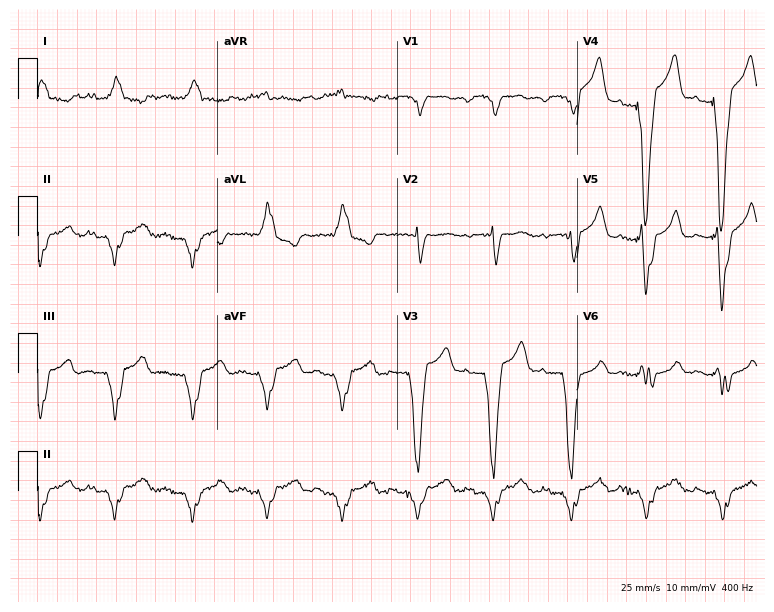
Resting 12-lead electrocardiogram. Patient: a 69-year-old male. None of these six findings is recorded: first-degree AV block, right bundle branch block, left bundle branch block, sinus bradycardia, atrial fibrillation, sinus tachycardia. Findings outside these six are not listed.